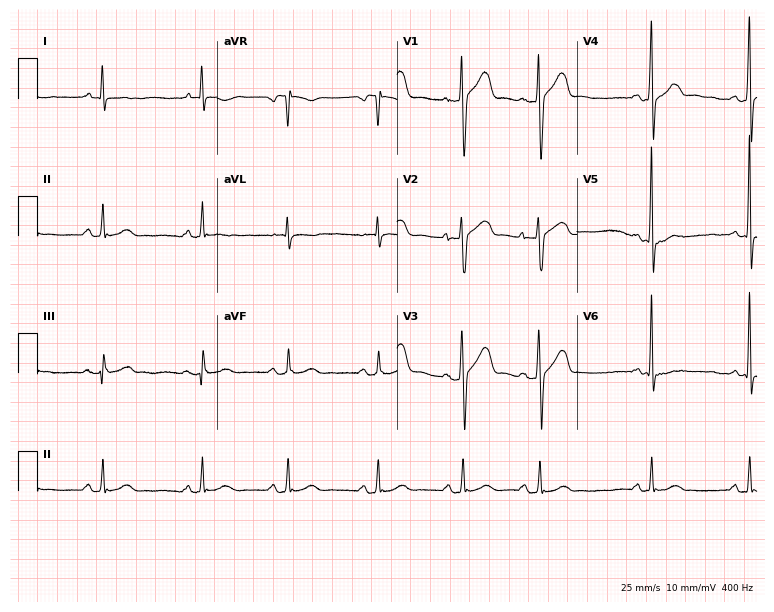
Electrocardiogram (7.3-second recording at 400 Hz), a man, 36 years old. Of the six screened findings (first-degree AV block, right bundle branch block, left bundle branch block, sinus bradycardia, atrial fibrillation, sinus tachycardia), none is recorded. Other findings, if any, are not listed.